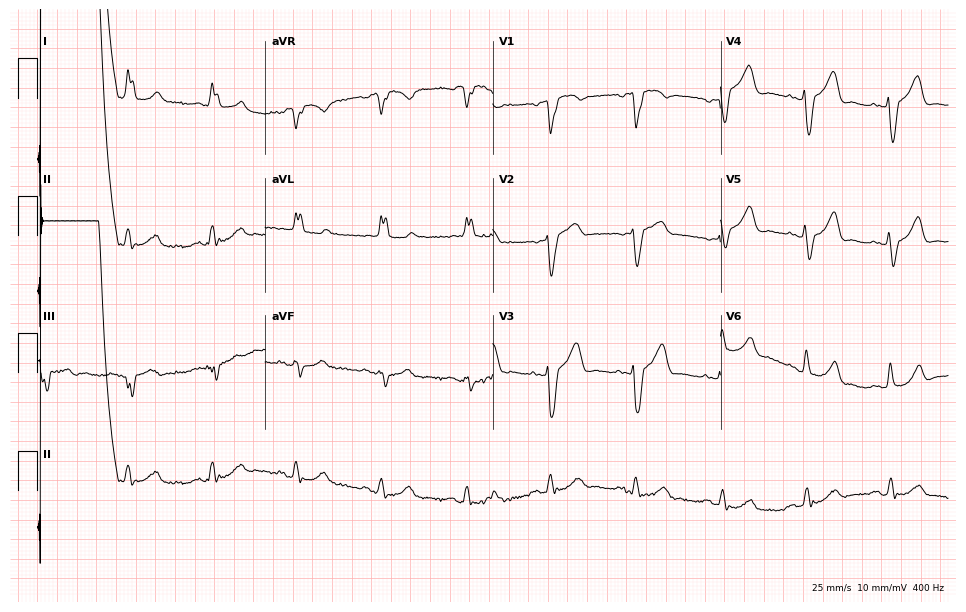
Standard 12-lead ECG recorded from a man, 71 years old (9.3-second recording at 400 Hz). The tracing shows first-degree AV block, left bundle branch block.